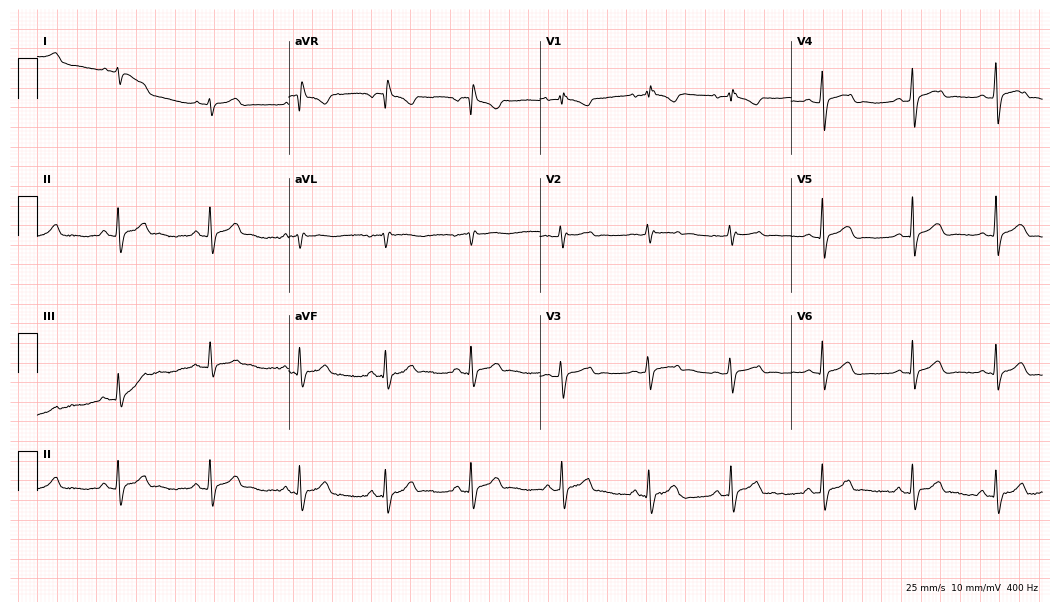
Electrocardiogram, a 27-year-old female. Of the six screened findings (first-degree AV block, right bundle branch block (RBBB), left bundle branch block (LBBB), sinus bradycardia, atrial fibrillation (AF), sinus tachycardia), none is recorded.